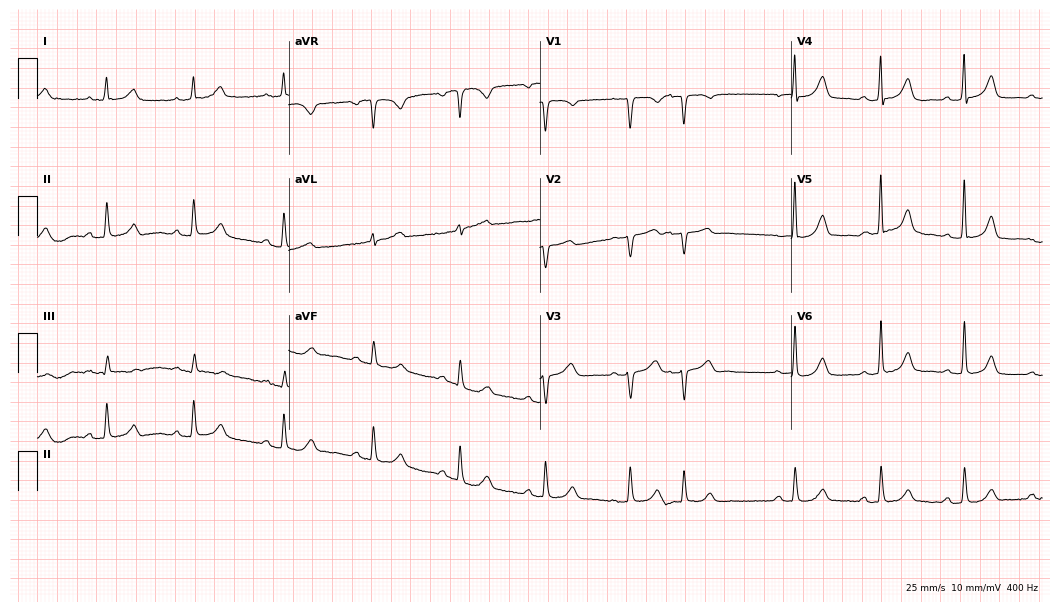
12-lead ECG from a 69-year-old female patient (10.2-second recording at 400 Hz). No first-degree AV block, right bundle branch block (RBBB), left bundle branch block (LBBB), sinus bradycardia, atrial fibrillation (AF) or sinus tachycardia recorded for this tracing. Only these six findings were labelled.